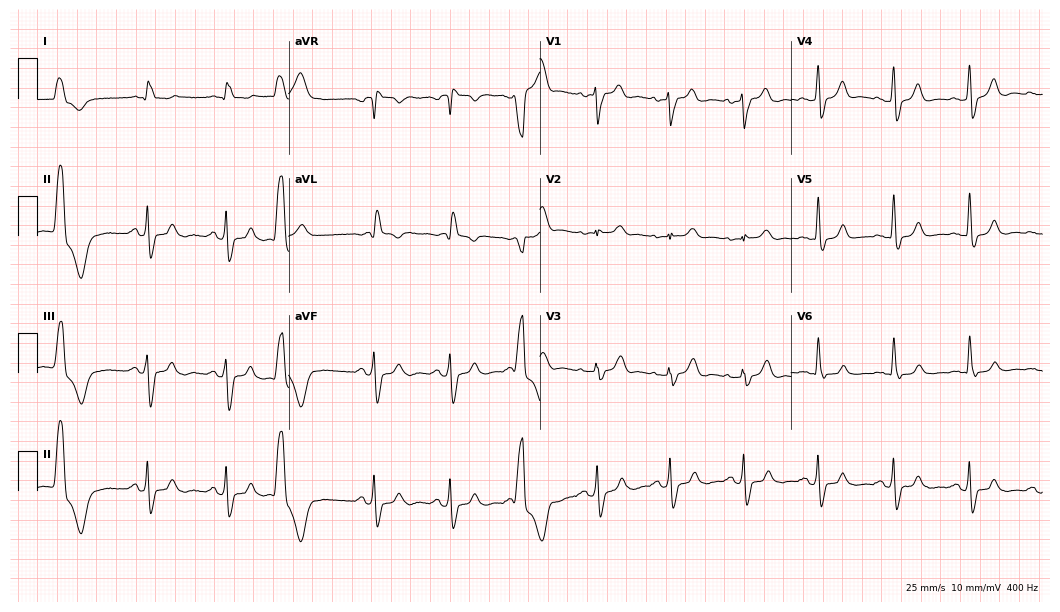
ECG (10.2-second recording at 400 Hz) — a male patient, 77 years old. Findings include left bundle branch block.